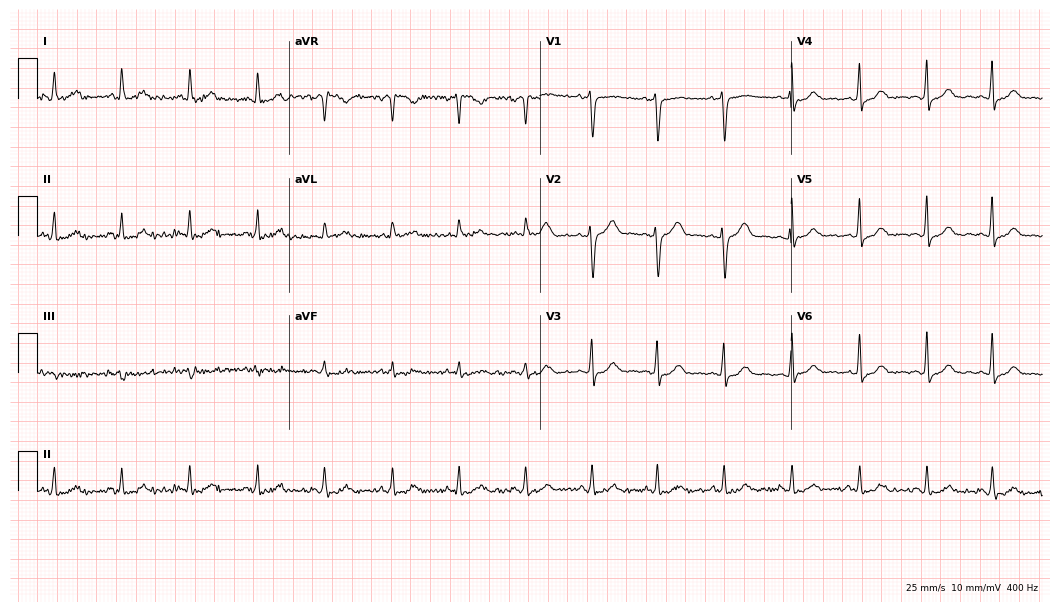
Electrocardiogram, a 40-year-old female patient. Overall reading on record: normal ECG.